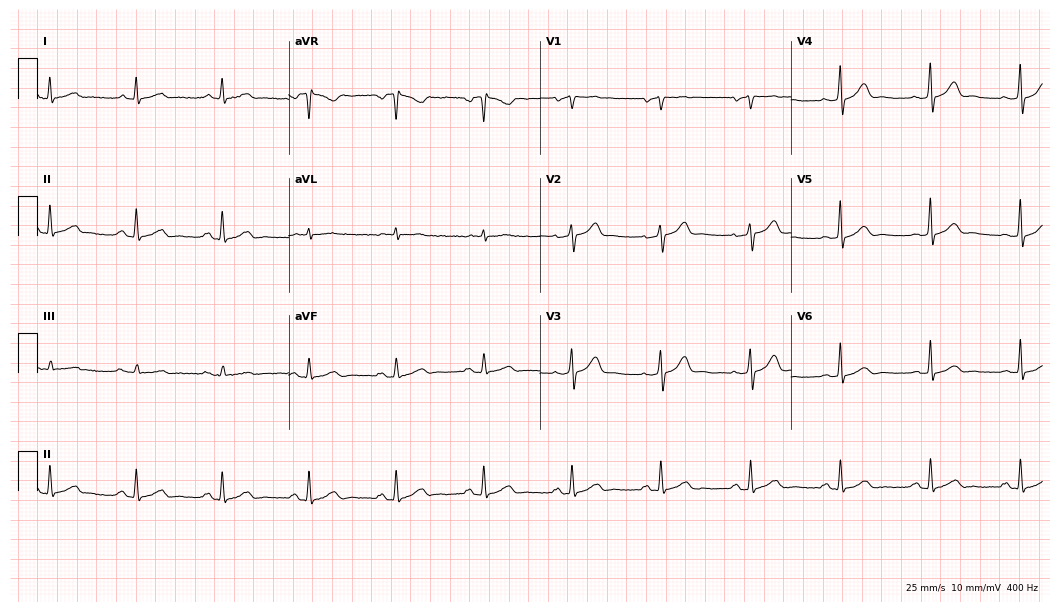
Electrocardiogram, a man, 69 years old. Overall reading on record: normal ECG.